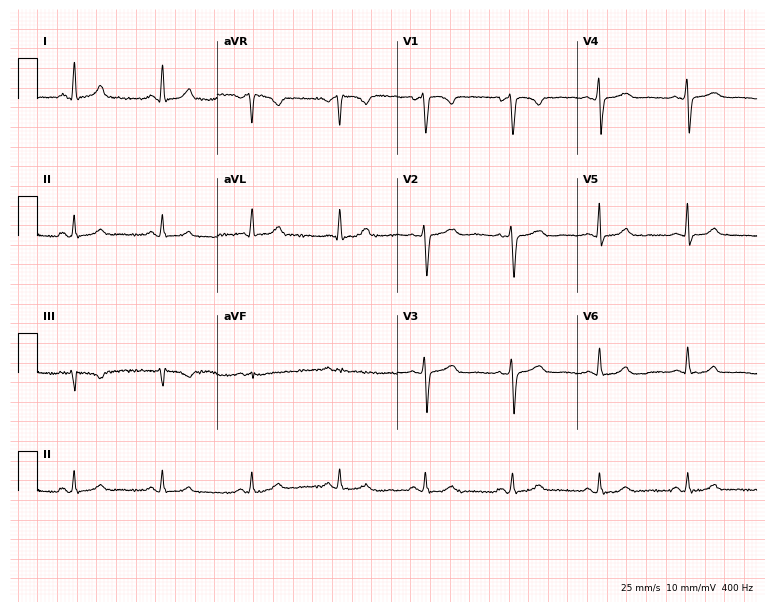
Electrocardiogram (7.3-second recording at 400 Hz), a 45-year-old woman. Overall reading on record: normal ECG.